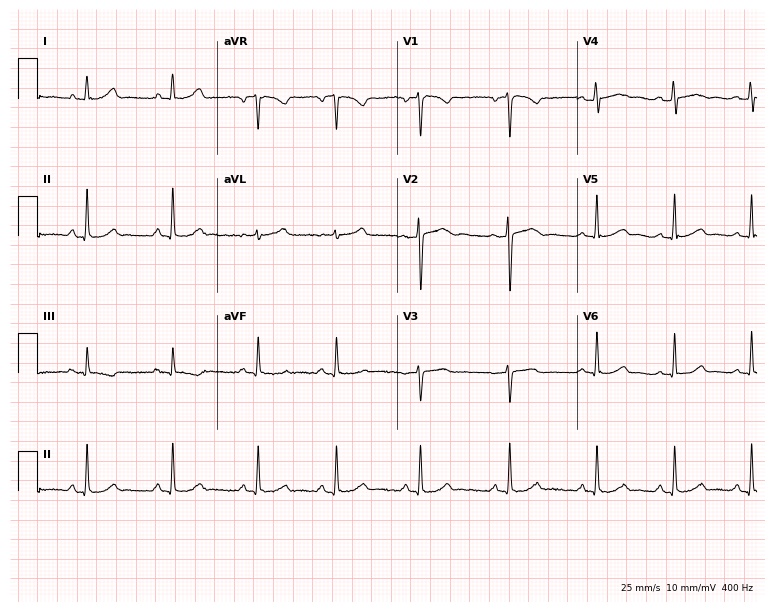
12-lead ECG from a 26-year-old female patient. Recorded interpretation: within normal limits.